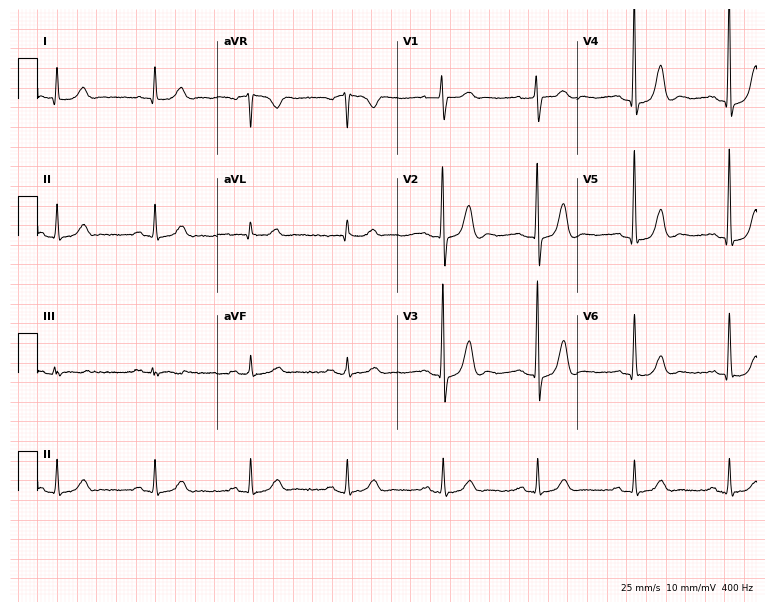
12-lead ECG from a 59-year-old female patient. Labelled as a normal ECG.